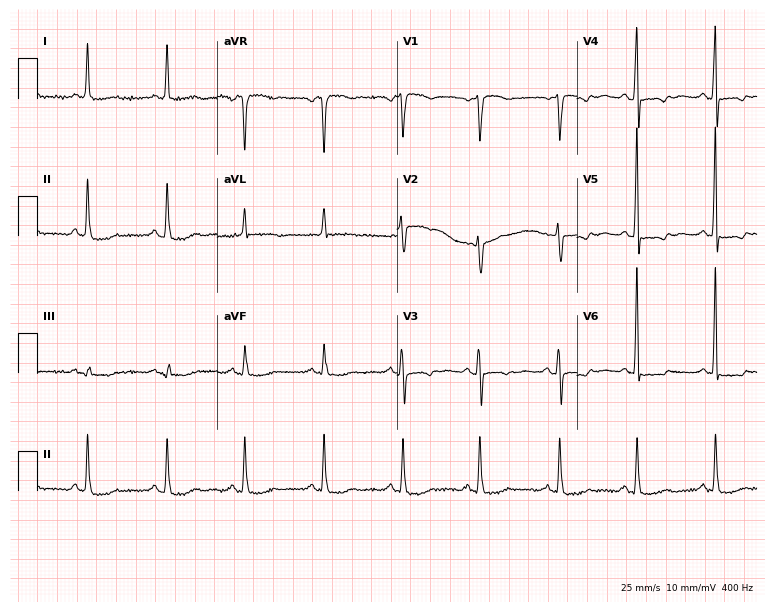
12-lead ECG (7.3-second recording at 400 Hz) from a 70-year-old female. Screened for six findings — first-degree AV block, right bundle branch block, left bundle branch block, sinus bradycardia, atrial fibrillation, sinus tachycardia — none is recorded. Only these six findings were labelled.